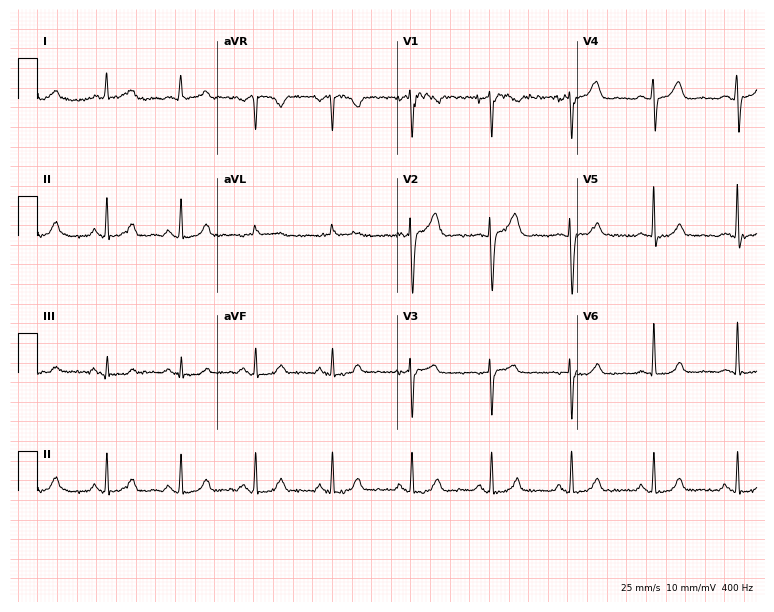
Standard 12-lead ECG recorded from a female, 53 years old. None of these six findings is recorded: first-degree AV block, right bundle branch block, left bundle branch block, sinus bradycardia, atrial fibrillation, sinus tachycardia. Findings outside these six are not listed.